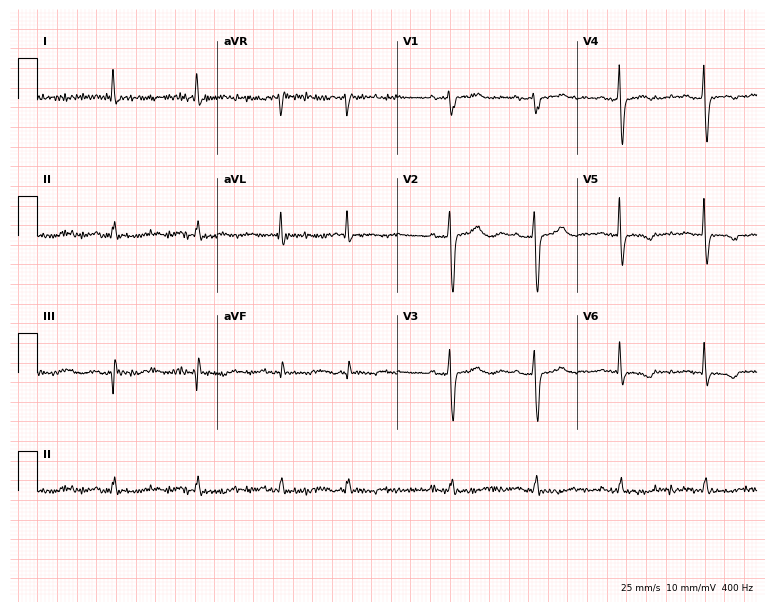
Electrocardiogram (7.3-second recording at 400 Hz), an 82-year-old woman. Of the six screened findings (first-degree AV block, right bundle branch block (RBBB), left bundle branch block (LBBB), sinus bradycardia, atrial fibrillation (AF), sinus tachycardia), none is recorded.